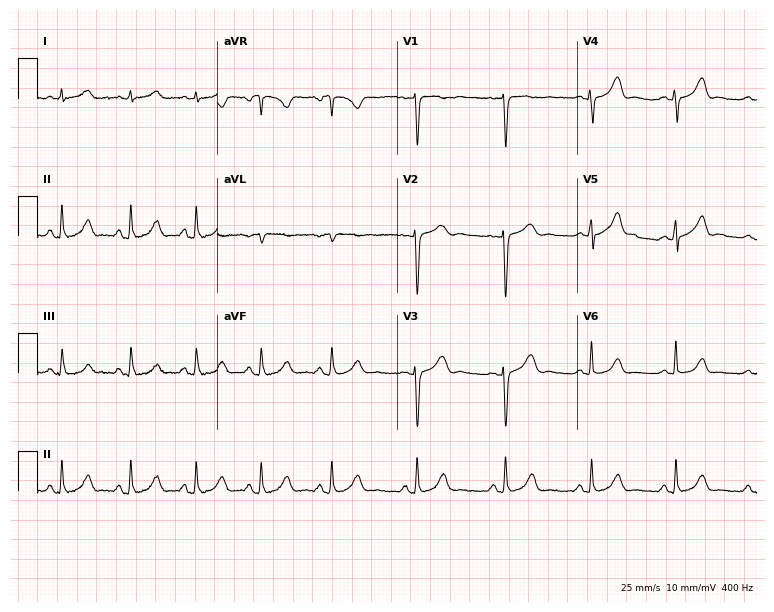
Electrocardiogram, a 37-year-old female patient. Of the six screened findings (first-degree AV block, right bundle branch block, left bundle branch block, sinus bradycardia, atrial fibrillation, sinus tachycardia), none is recorded. Other findings, if any, are not listed.